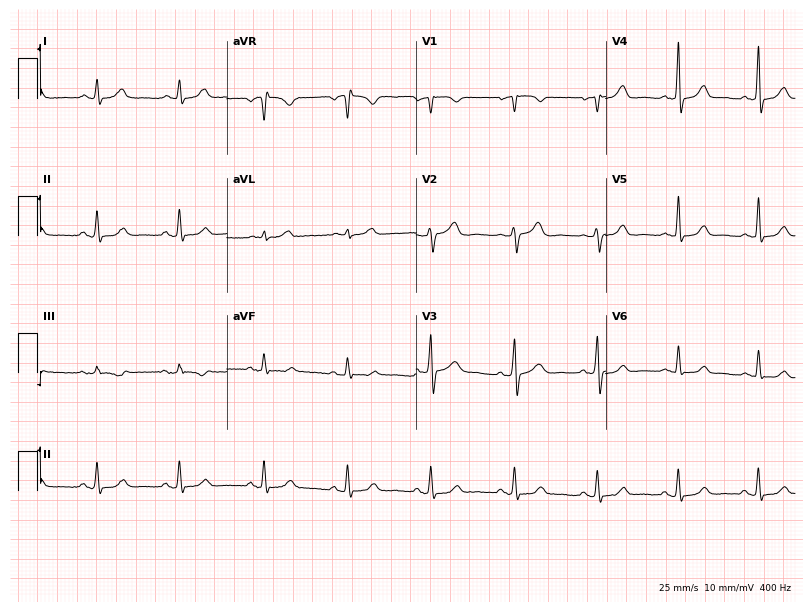
Electrocardiogram (7.7-second recording at 400 Hz), a female, 50 years old. Of the six screened findings (first-degree AV block, right bundle branch block, left bundle branch block, sinus bradycardia, atrial fibrillation, sinus tachycardia), none is recorded.